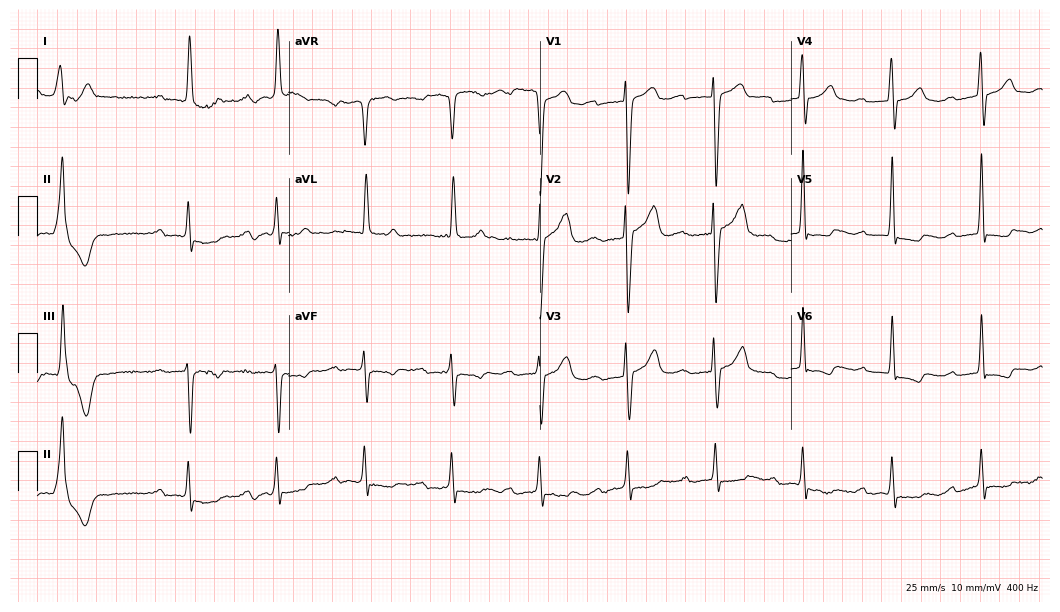
12-lead ECG from a 78-year-old male (10.2-second recording at 400 Hz). Shows first-degree AV block.